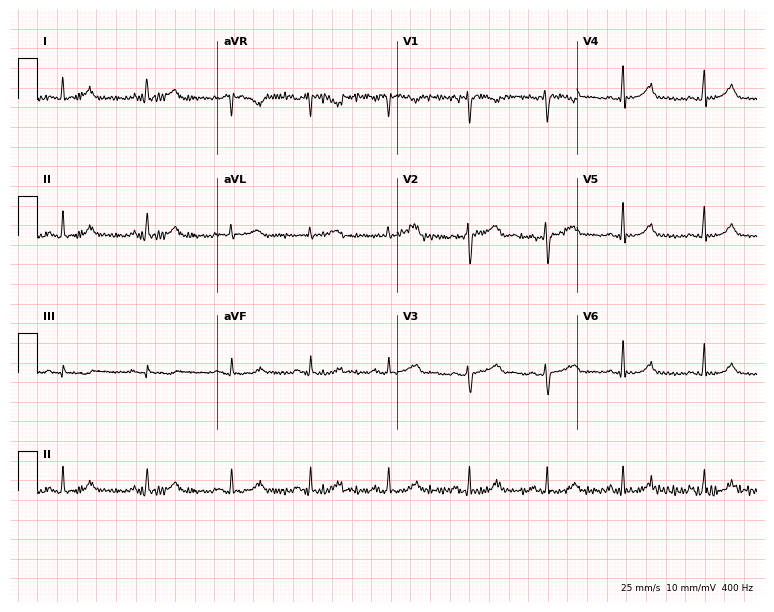
Resting 12-lead electrocardiogram. Patient: a woman, 38 years old. None of these six findings is recorded: first-degree AV block, right bundle branch block, left bundle branch block, sinus bradycardia, atrial fibrillation, sinus tachycardia. Findings outside these six are not listed.